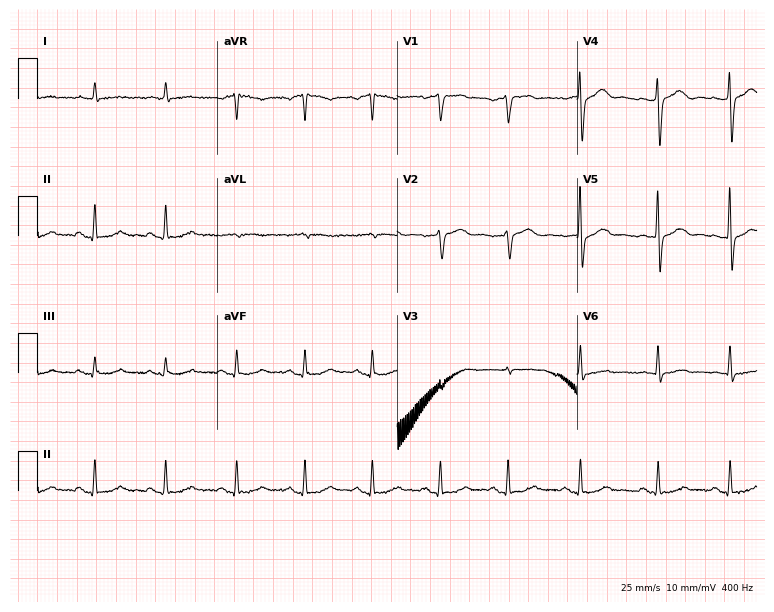
Standard 12-lead ECG recorded from an 80-year-old male patient (7.3-second recording at 400 Hz). None of these six findings is recorded: first-degree AV block, right bundle branch block (RBBB), left bundle branch block (LBBB), sinus bradycardia, atrial fibrillation (AF), sinus tachycardia. Only these six findings were labelled.